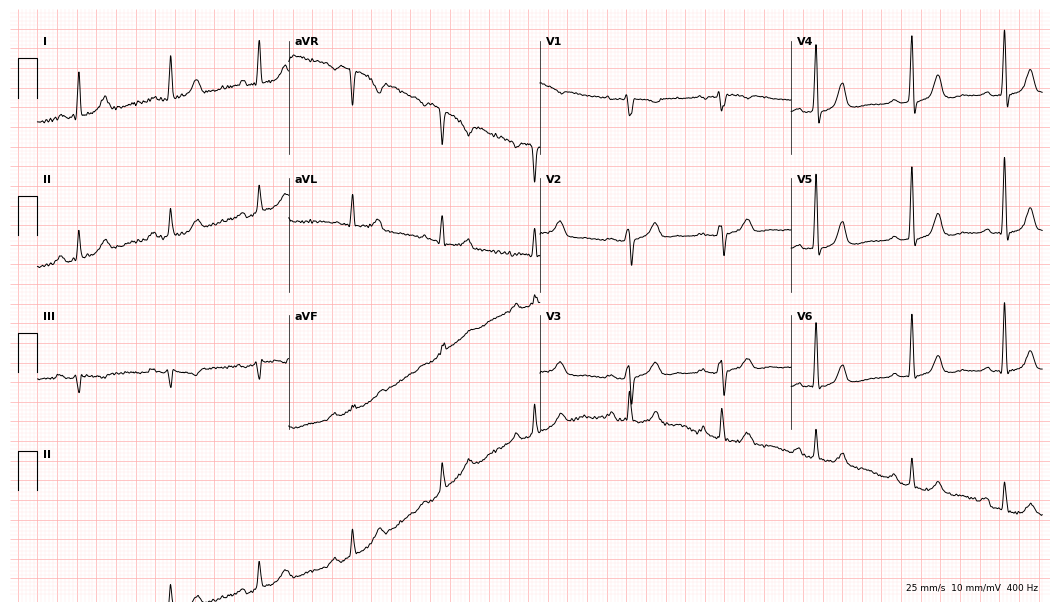
12-lead ECG from a female, 79 years old. No first-degree AV block, right bundle branch block, left bundle branch block, sinus bradycardia, atrial fibrillation or sinus tachycardia recorded for this tracing. Only these six findings were labelled.